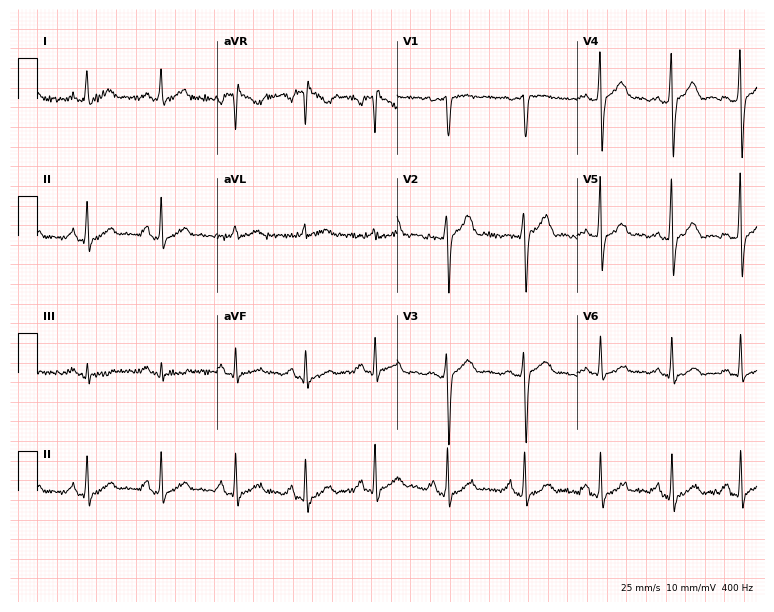
Standard 12-lead ECG recorded from a female patient, 43 years old. Read as a normal ECG.